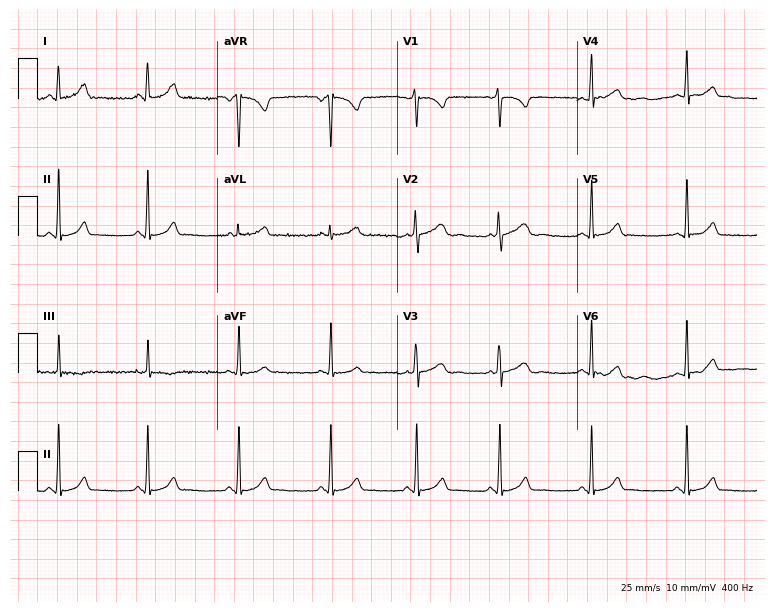
Electrocardiogram (7.3-second recording at 400 Hz), a 19-year-old female patient. Overall reading on record: normal ECG.